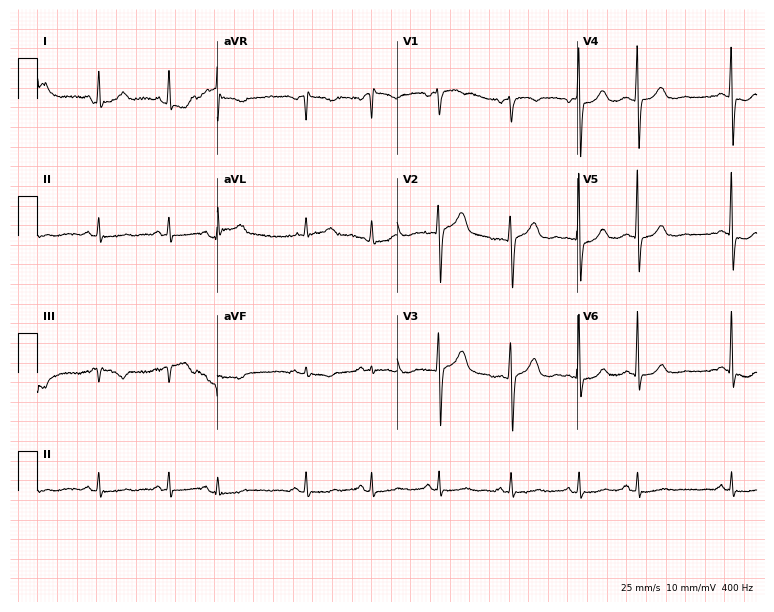
Electrocardiogram, a female, 53 years old. Of the six screened findings (first-degree AV block, right bundle branch block, left bundle branch block, sinus bradycardia, atrial fibrillation, sinus tachycardia), none is recorded.